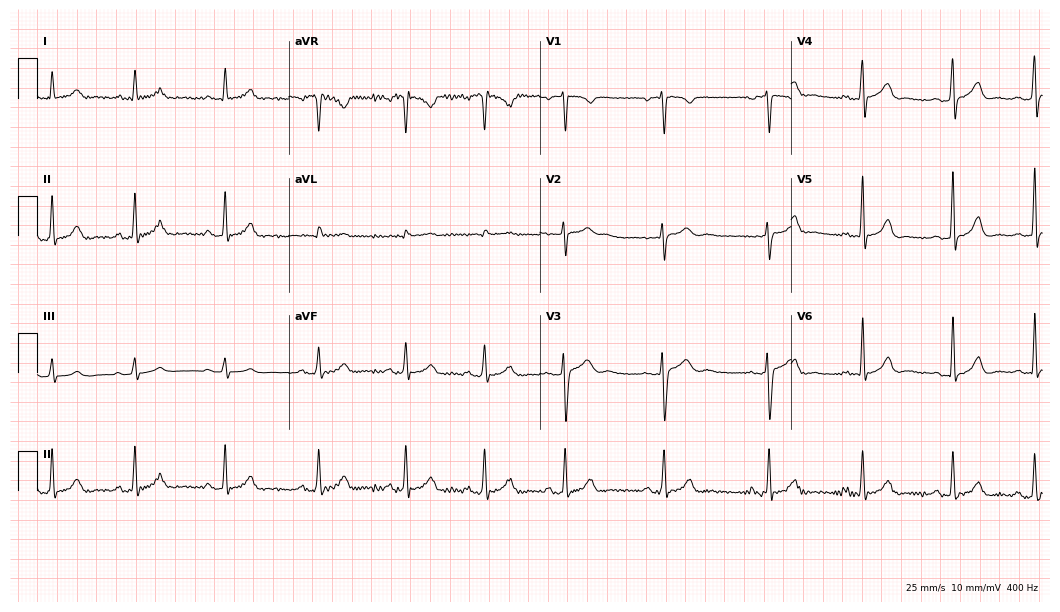
ECG — a female patient, 32 years old. Labelled as a normal ECG.